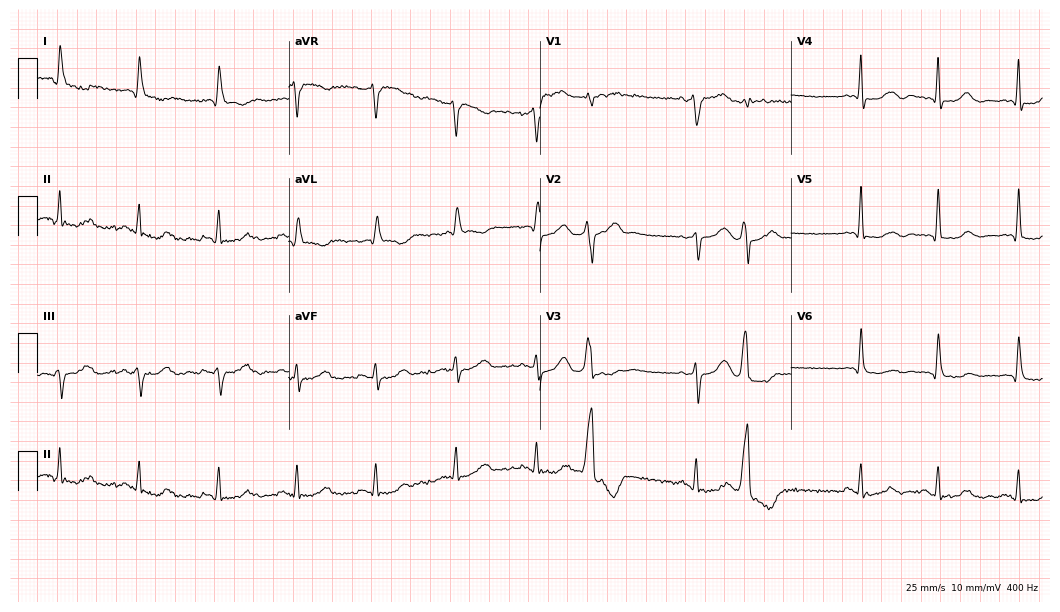
Electrocardiogram (10.2-second recording at 400 Hz), an 81-year-old female patient. Of the six screened findings (first-degree AV block, right bundle branch block (RBBB), left bundle branch block (LBBB), sinus bradycardia, atrial fibrillation (AF), sinus tachycardia), none is recorded. Findings outside these six are not listed.